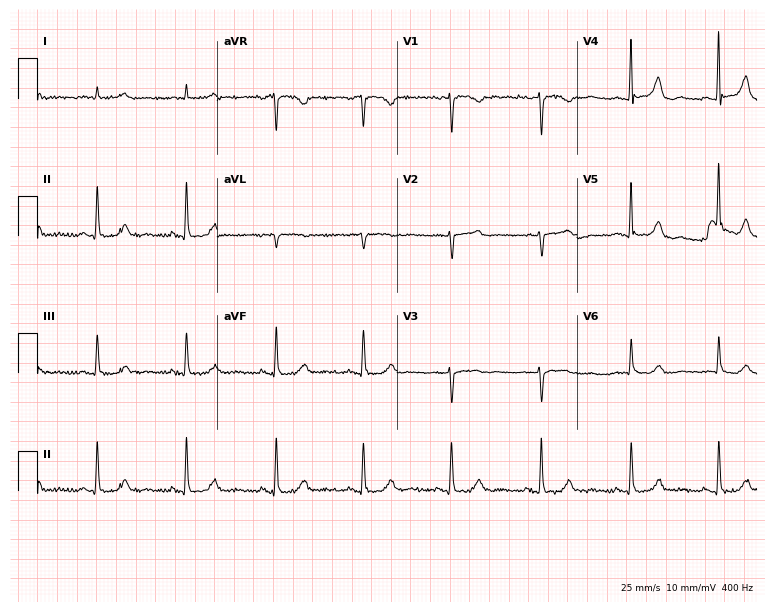
Standard 12-lead ECG recorded from a female, 65 years old. None of these six findings is recorded: first-degree AV block, right bundle branch block, left bundle branch block, sinus bradycardia, atrial fibrillation, sinus tachycardia.